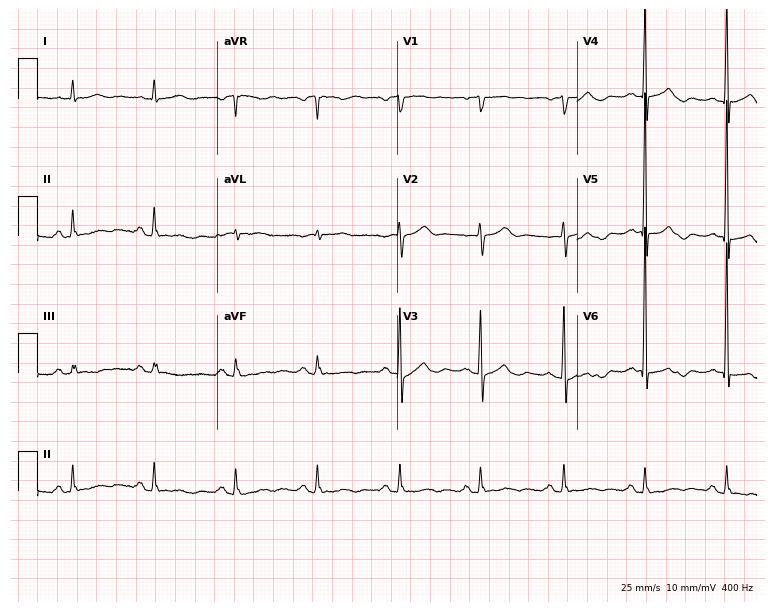
ECG — a female, 78 years old. Screened for six findings — first-degree AV block, right bundle branch block (RBBB), left bundle branch block (LBBB), sinus bradycardia, atrial fibrillation (AF), sinus tachycardia — none is recorded.